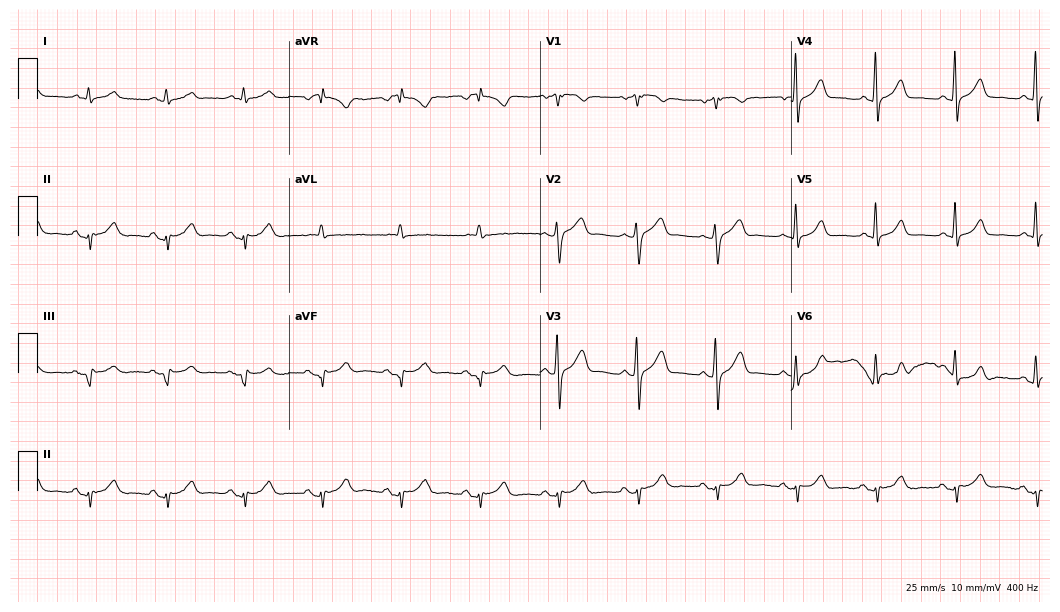
ECG (10.2-second recording at 400 Hz) — a 66-year-old male patient. Screened for six findings — first-degree AV block, right bundle branch block (RBBB), left bundle branch block (LBBB), sinus bradycardia, atrial fibrillation (AF), sinus tachycardia — none is recorded. Only these six findings were labelled.